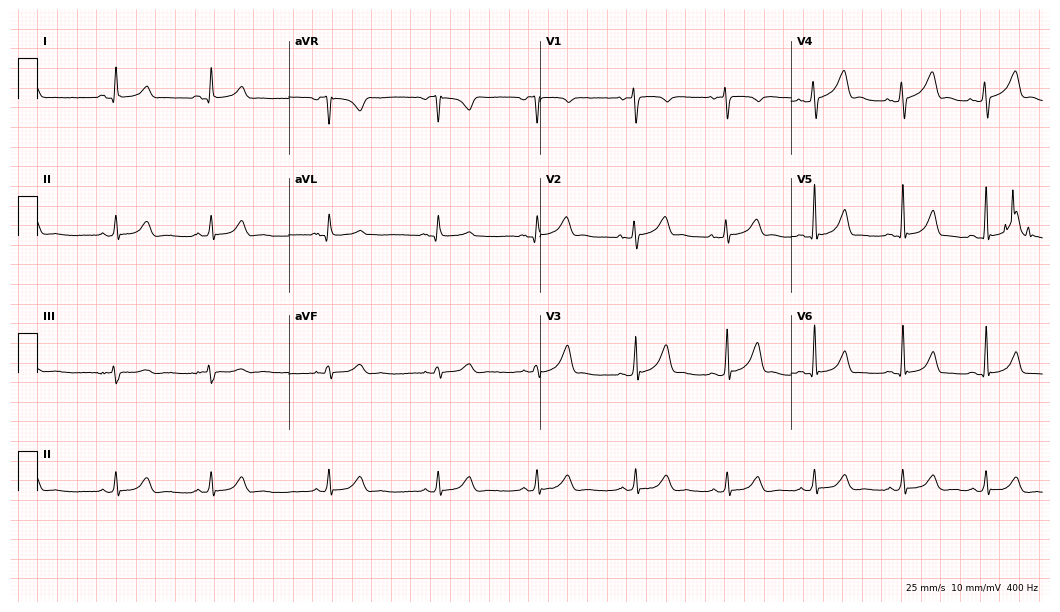
Resting 12-lead electrocardiogram. Patient: a 26-year-old female. None of these six findings is recorded: first-degree AV block, right bundle branch block, left bundle branch block, sinus bradycardia, atrial fibrillation, sinus tachycardia. Other findings, if any, are not listed.